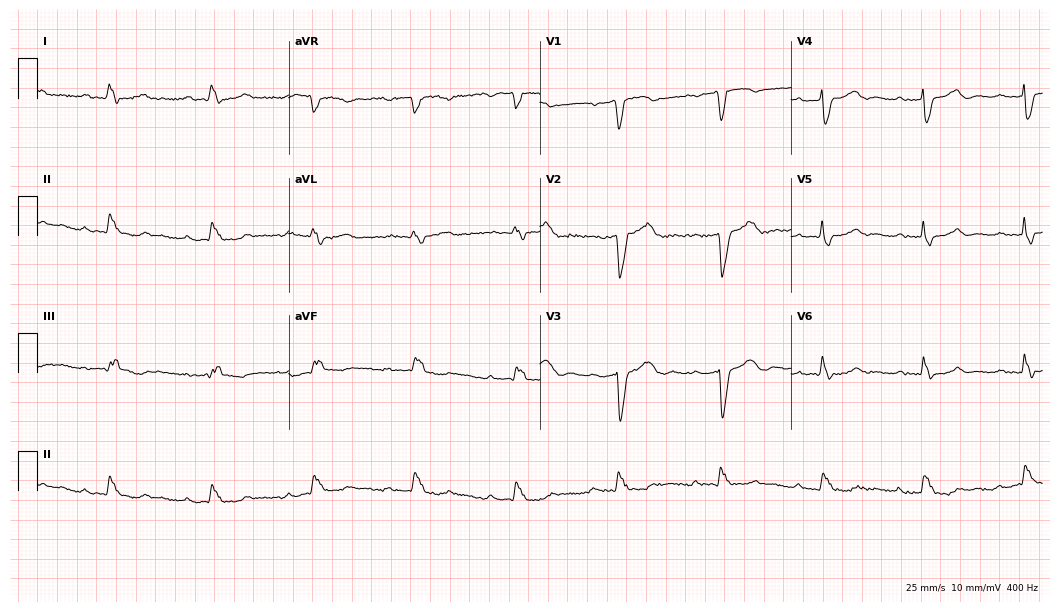
Resting 12-lead electrocardiogram. Patient: an 80-year-old male. The tracing shows first-degree AV block, left bundle branch block.